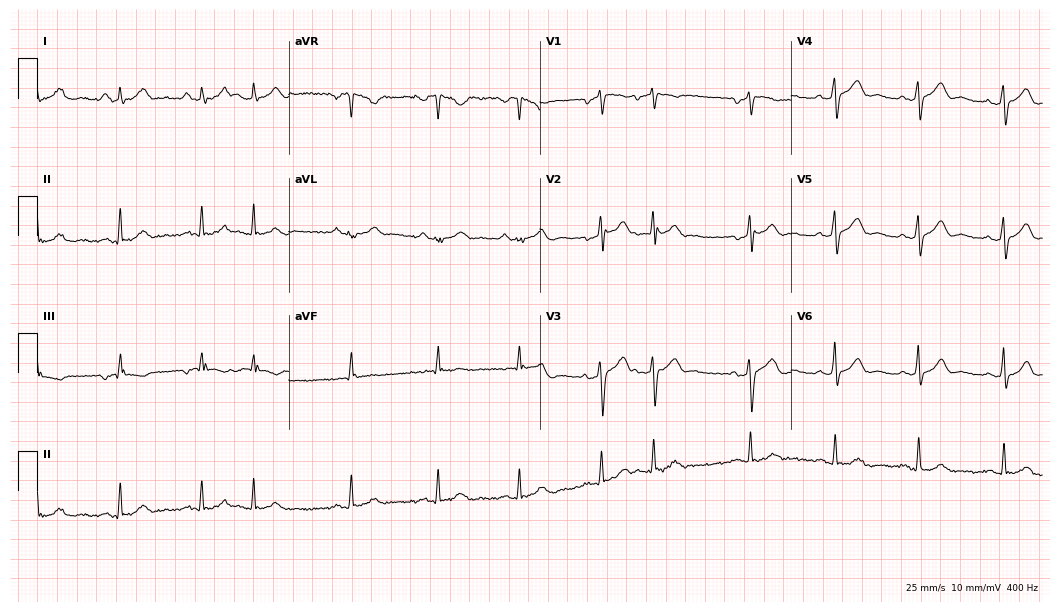
12-lead ECG from a 52-year-old man. No first-degree AV block, right bundle branch block (RBBB), left bundle branch block (LBBB), sinus bradycardia, atrial fibrillation (AF) or sinus tachycardia recorded for this tracing. Only these six findings were labelled.